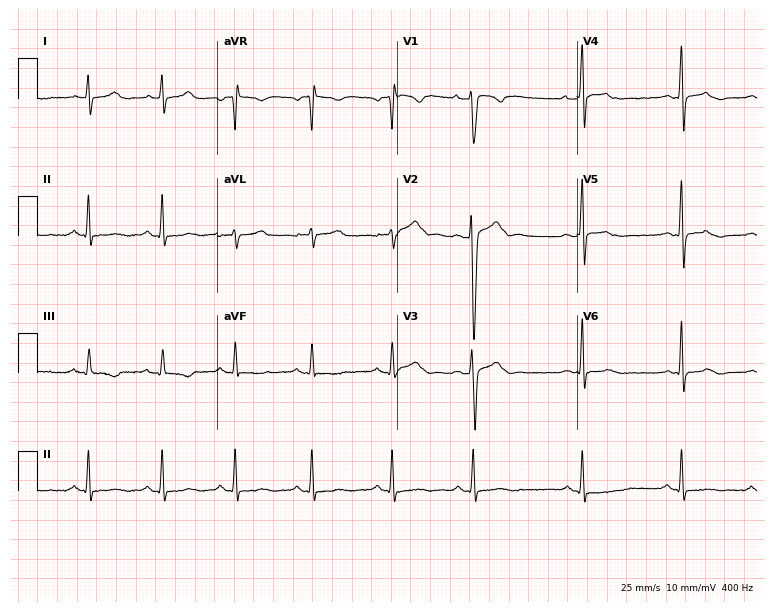
Standard 12-lead ECG recorded from a male patient, 29 years old. None of these six findings is recorded: first-degree AV block, right bundle branch block (RBBB), left bundle branch block (LBBB), sinus bradycardia, atrial fibrillation (AF), sinus tachycardia.